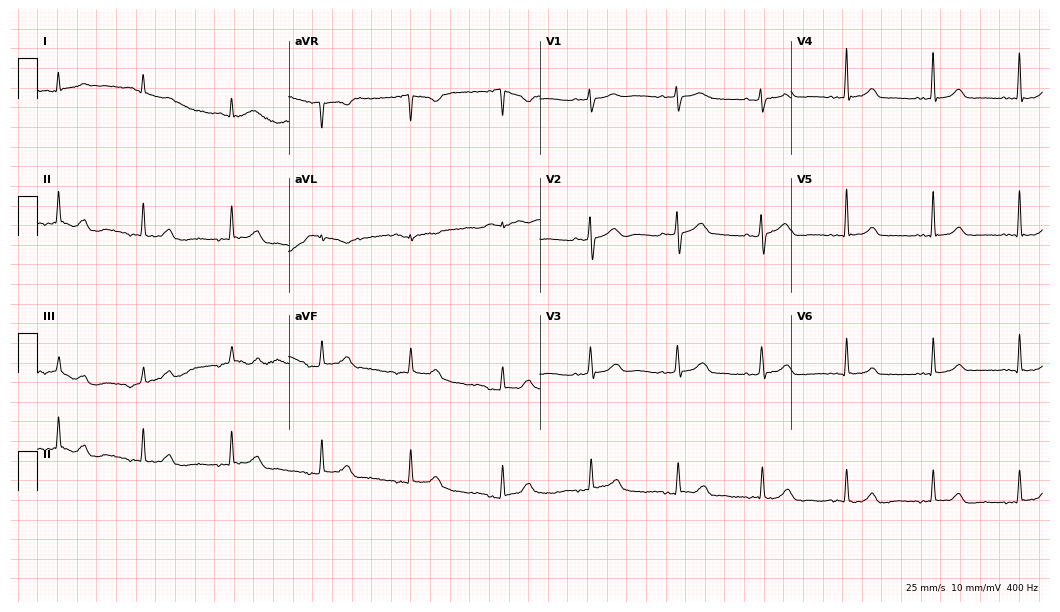
ECG (10.2-second recording at 400 Hz) — a female patient, 65 years old. Screened for six findings — first-degree AV block, right bundle branch block (RBBB), left bundle branch block (LBBB), sinus bradycardia, atrial fibrillation (AF), sinus tachycardia — none is recorded.